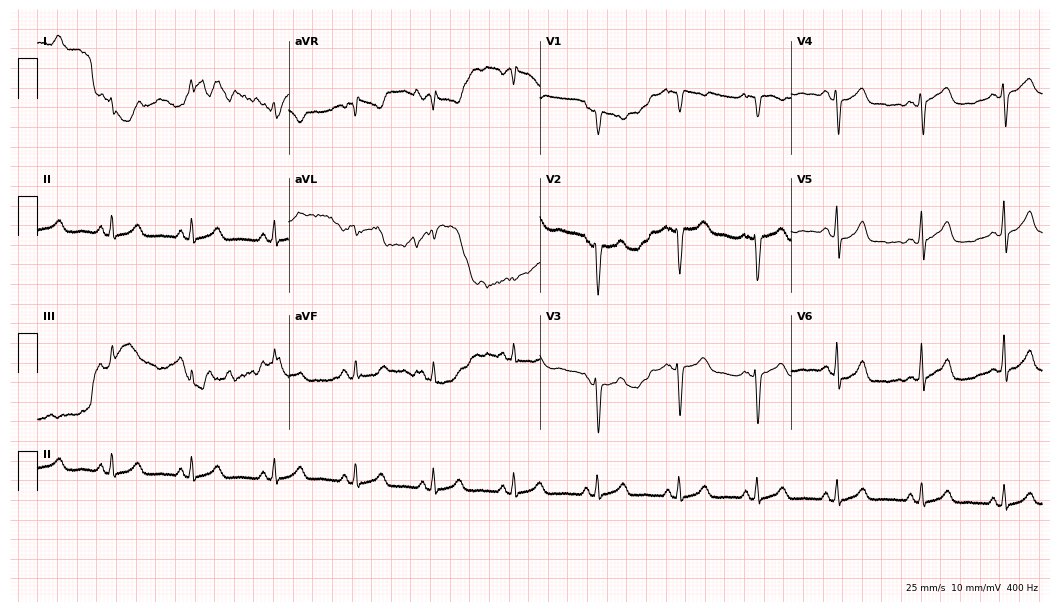
12-lead ECG from a 20-year-old female (10.2-second recording at 400 Hz). Recorded interpretation: within normal limits.